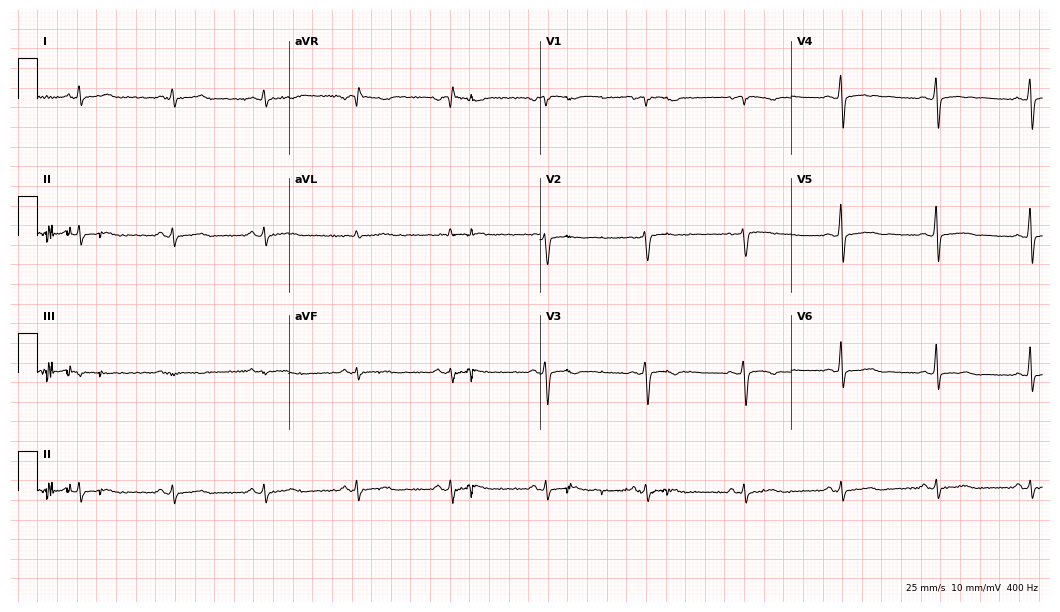
ECG (10.2-second recording at 400 Hz) — a female patient, 53 years old. Labelled as a normal ECG.